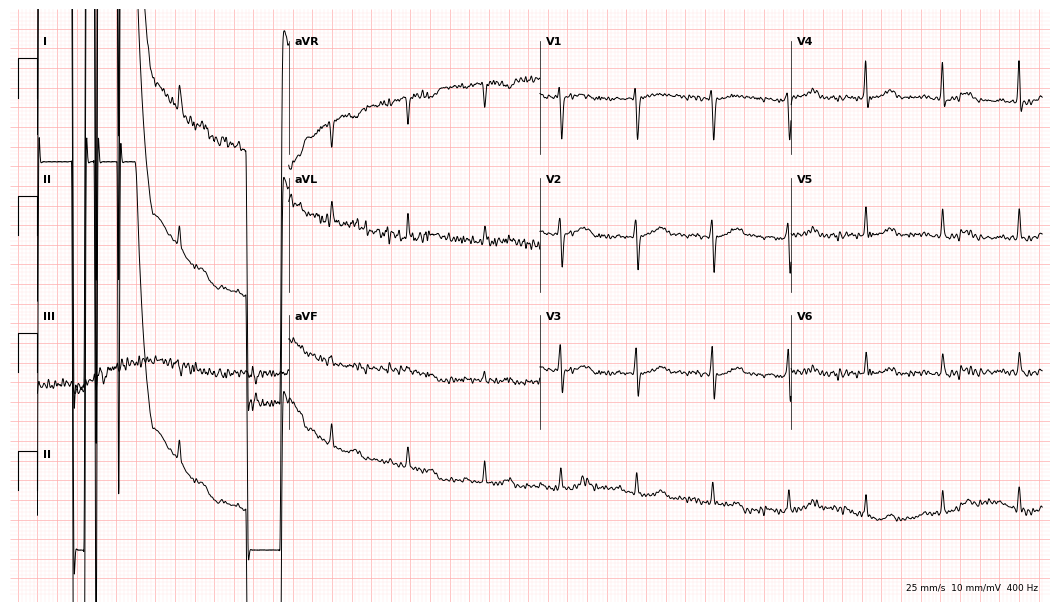
Electrocardiogram, a 66-year-old man. Of the six screened findings (first-degree AV block, right bundle branch block, left bundle branch block, sinus bradycardia, atrial fibrillation, sinus tachycardia), none is recorded. Only these six findings were labelled.